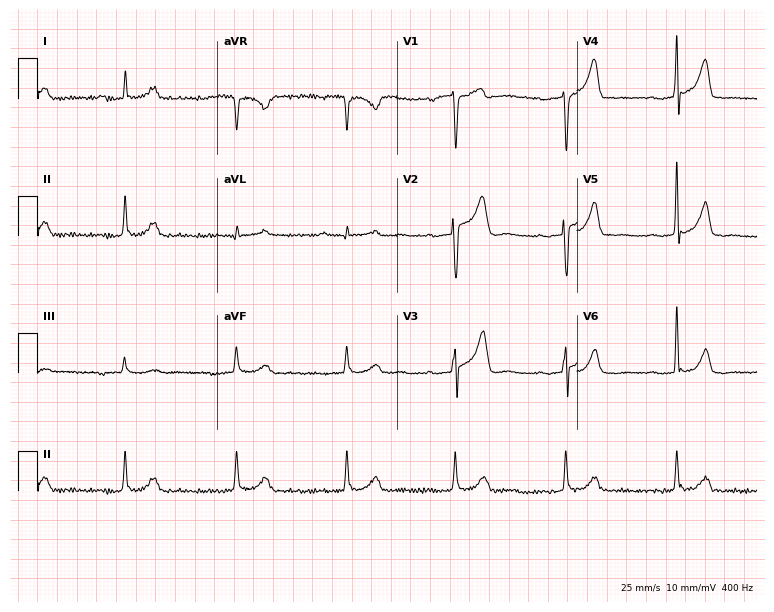
12-lead ECG from a 54-year-old male patient. Screened for six findings — first-degree AV block, right bundle branch block, left bundle branch block, sinus bradycardia, atrial fibrillation, sinus tachycardia — none is recorded. Only these six findings were labelled.